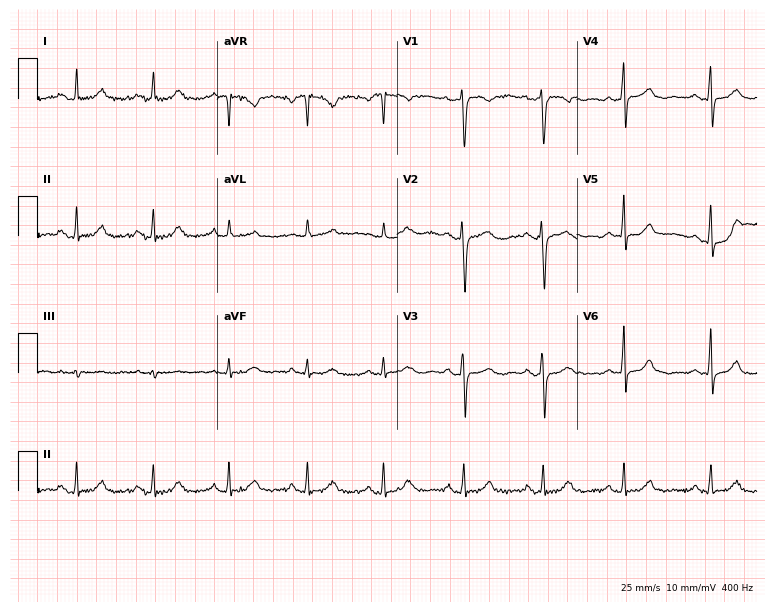
Resting 12-lead electrocardiogram. Patient: a female, 50 years old. Read as a normal ECG.